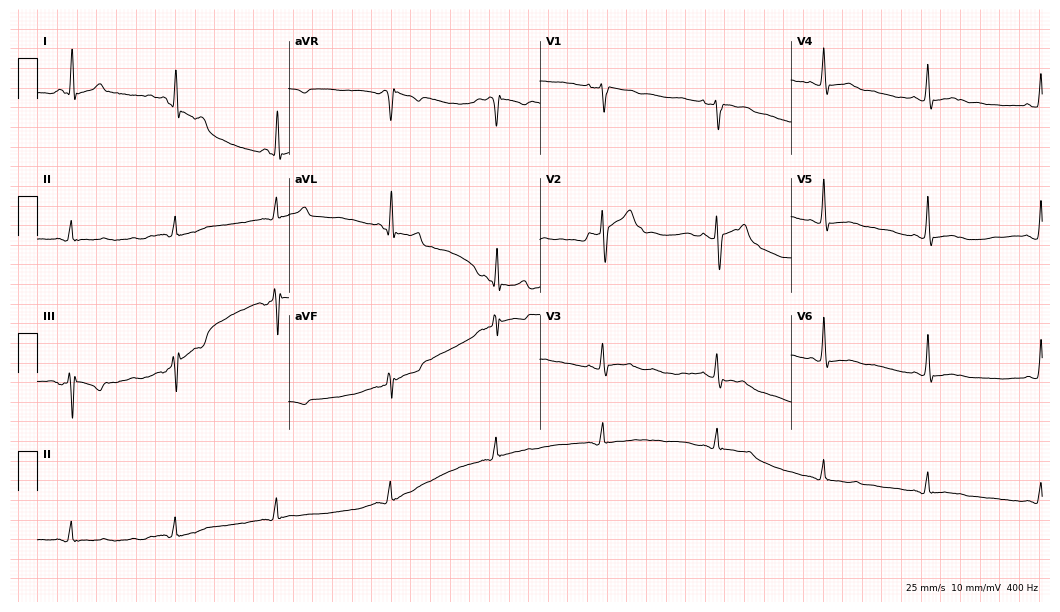
ECG (10.2-second recording at 400 Hz) — a male patient, 28 years old. Screened for six findings — first-degree AV block, right bundle branch block, left bundle branch block, sinus bradycardia, atrial fibrillation, sinus tachycardia — none is recorded.